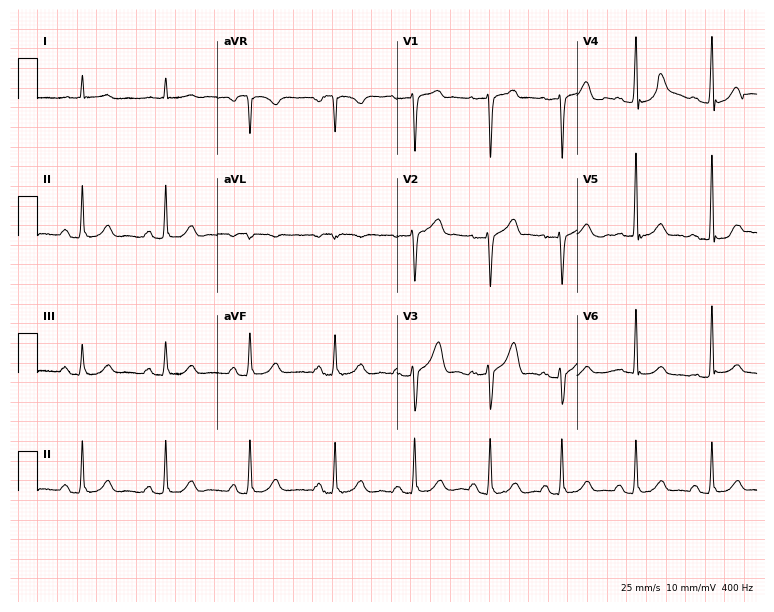
Electrocardiogram (7.3-second recording at 400 Hz), a 66-year-old man. Of the six screened findings (first-degree AV block, right bundle branch block (RBBB), left bundle branch block (LBBB), sinus bradycardia, atrial fibrillation (AF), sinus tachycardia), none is recorded.